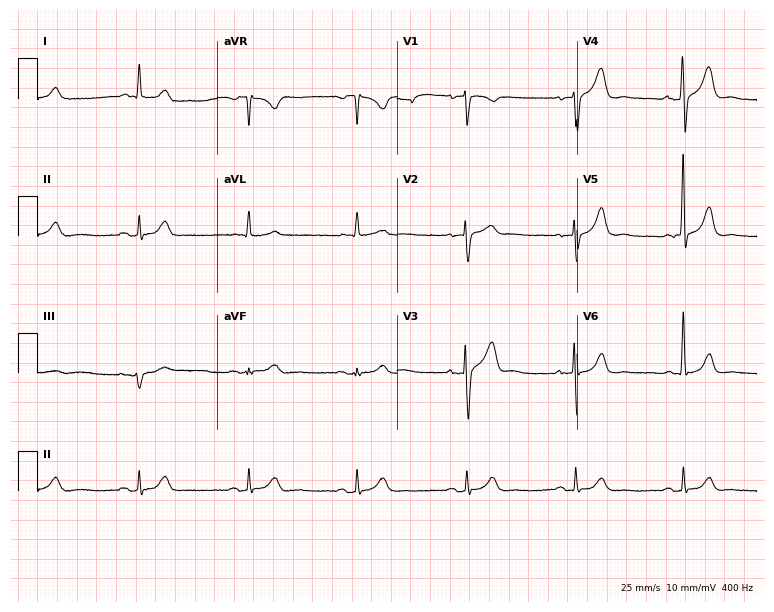
Standard 12-lead ECG recorded from a male patient, 71 years old (7.3-second recording at 400 Hz). Read as a normal ECG.